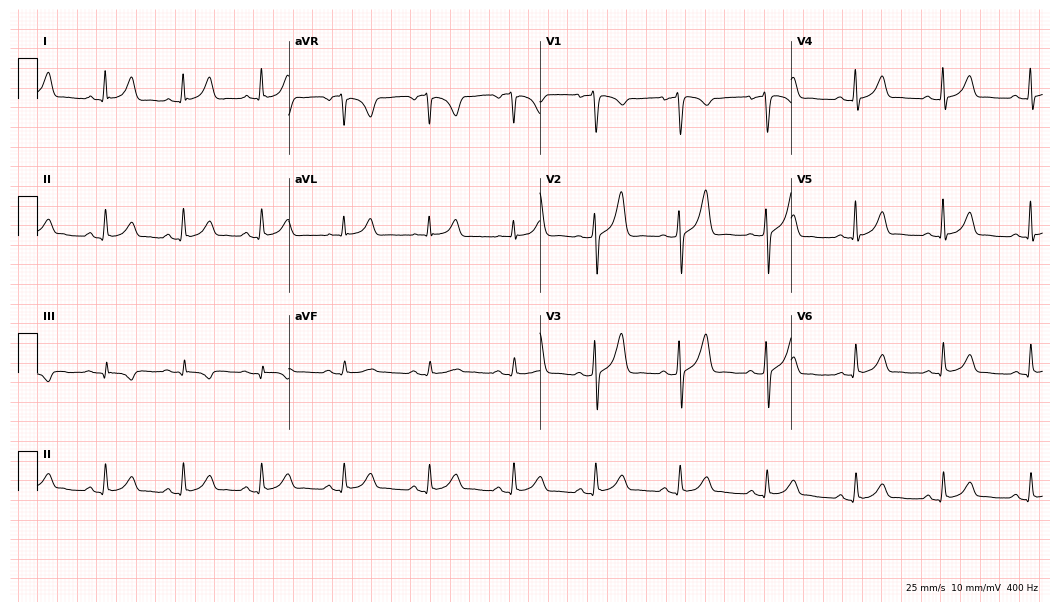
Electrocardiogram (10.2-second recording at 400 Hz), a 41-year-old male. Overall reading on record: normal ECG.